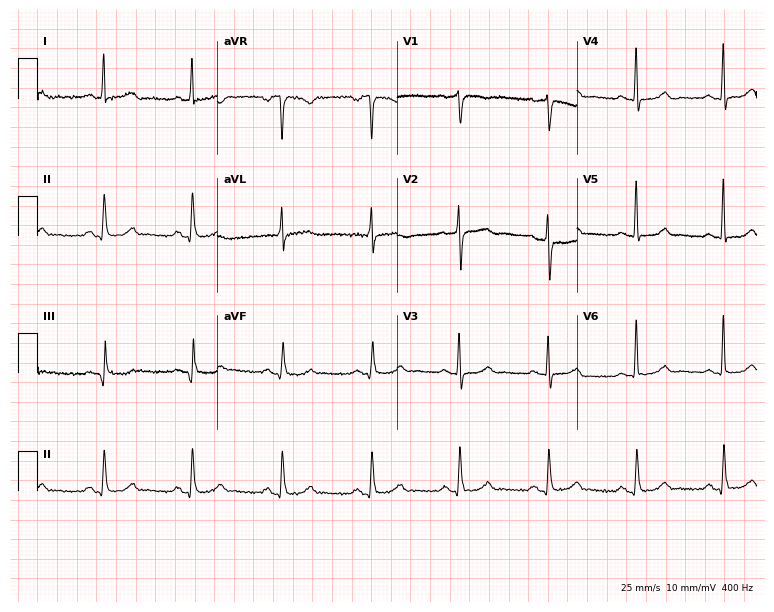
12-lead ECG (7.3-second recording at 400 Hz) from a 61-year-old woman. Labelled as a normal ECG.